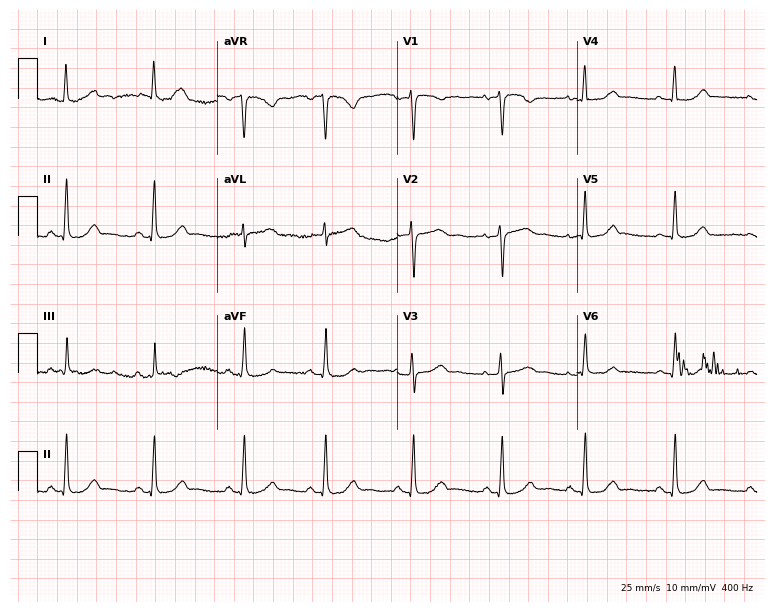
ECG (7.3-second recording at 400 Hz) — a 55-year-old woman. Screened for six findings — first-degree AV block, right bundle branch block, left bundle branch block, sinus bradycardia, atrial fibrillation, sinus tachycardia — none is recorded.